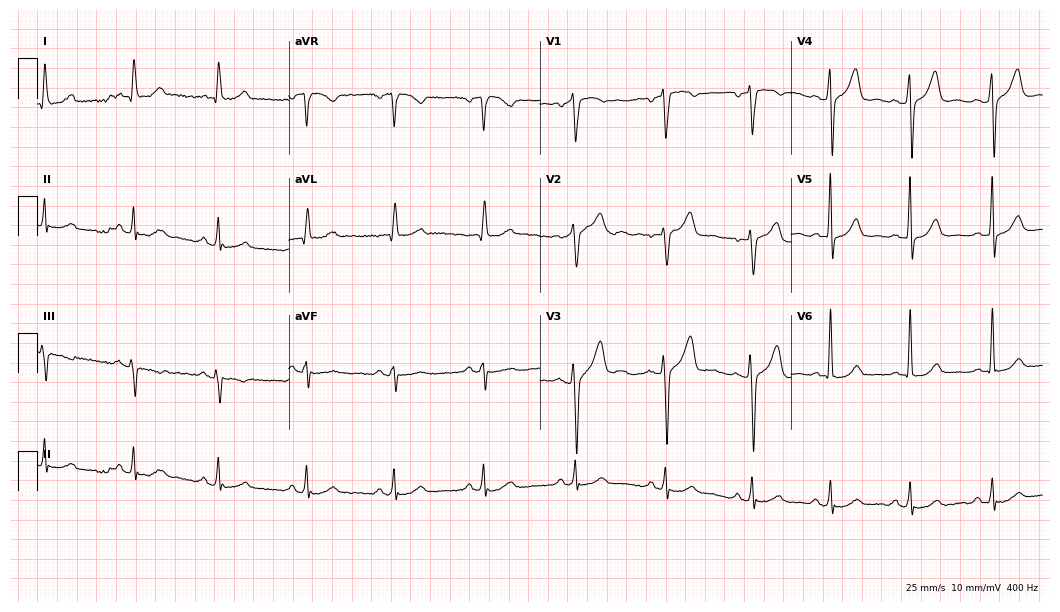
12-lead ECG (10.2-second recording at 400 Hz) from a man, 65 years old. Screened for six findings — first-degree AV block, right bundle branch block (RBBB), left bundle branch block (LBBB), sinus bradycardia, atrial fibrillation (AF), sinus tachycardia — none is recorded. Only these six findings were labelled.